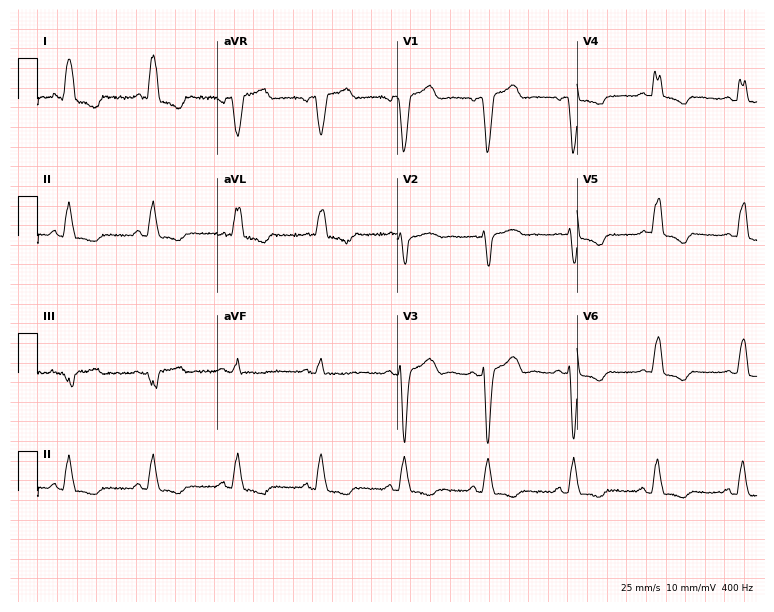
12-lead ECG from a female, 75 years old (7.3-second recording at 400 Hz). Shows left bundle branch block.